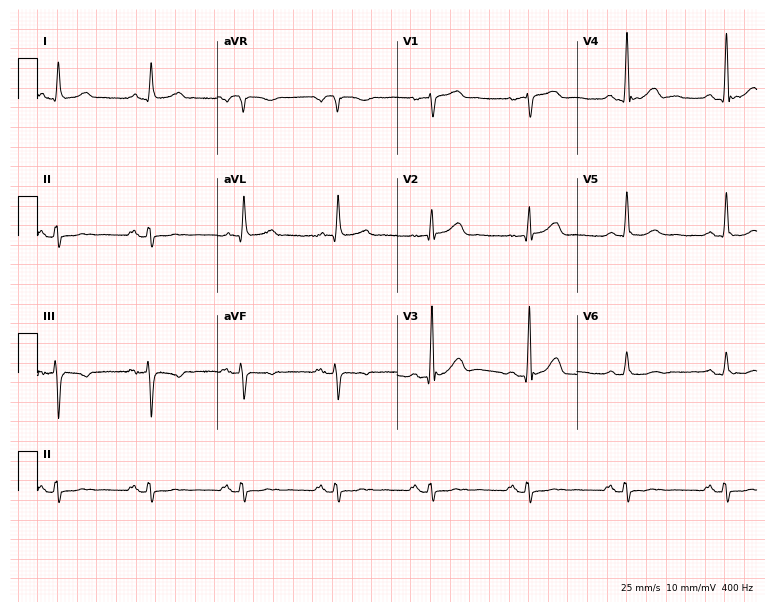
12-lead ECG (7.3-second recording at 400 Hz) from an 82-year-old male patient. Screened for six findings — first-degree AV block, right bundle branch block, left bundle branch block, sinus bradycardia, atrial fibrillation, sinus tachycardia — none is recorded. Findings outside these six are not listed.